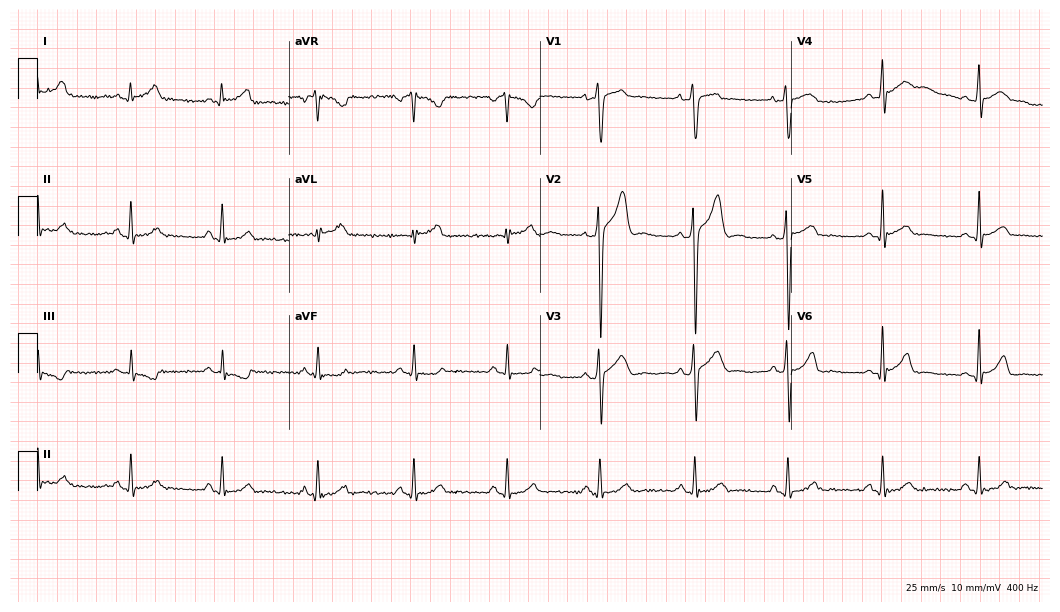
Electrocardiogram, a male patient, 45 years old. Overall reading on record: normal ECG.